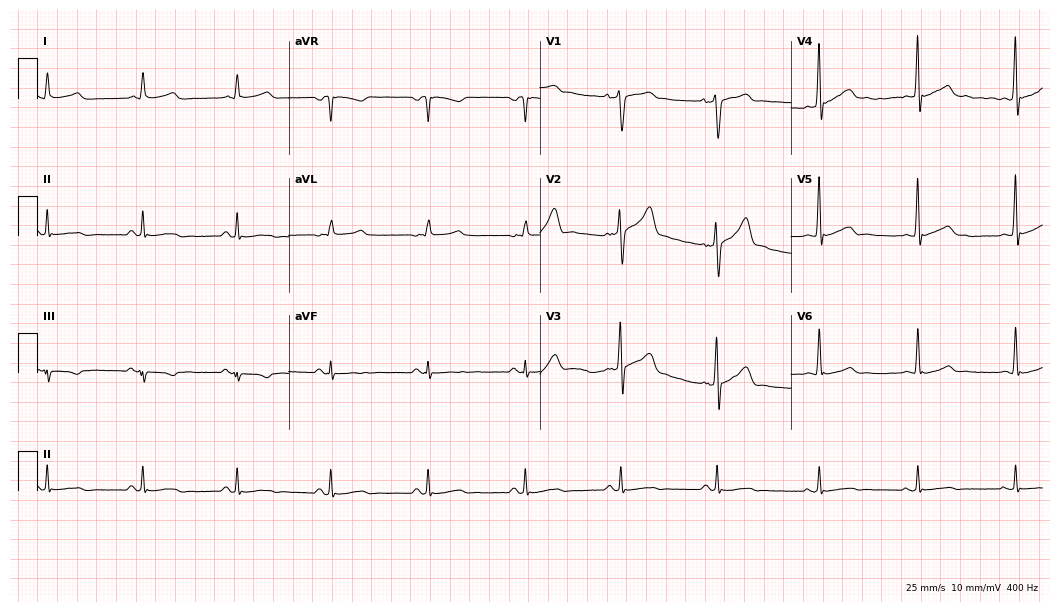
ECG (10.2-second recording at 400 Hz) — a man, 47 years old. Screened for six findings — first-degree AV block, right bundle branch block (RBBB), left bundle branch block (LBBB), sinus bradycardia, atrial fibrillation (AF), sinus tachycardia — none is recorded. Only these six findings were labelled.